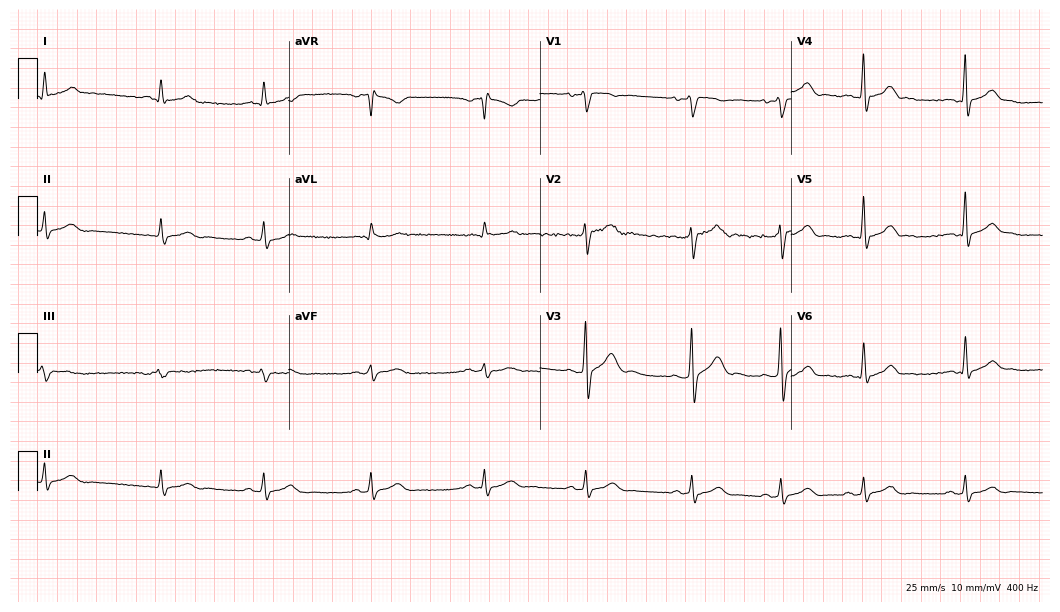
Resting 12-lead electrocardiogram. Patient: a male, 29 years old. None of these six findings is recorded: first-degree AV block, right bundle branch block, left bundle branch block, sinus bradycardia, atrial fibrillation, sinus tachycardia. Findings outside these six are not listed.